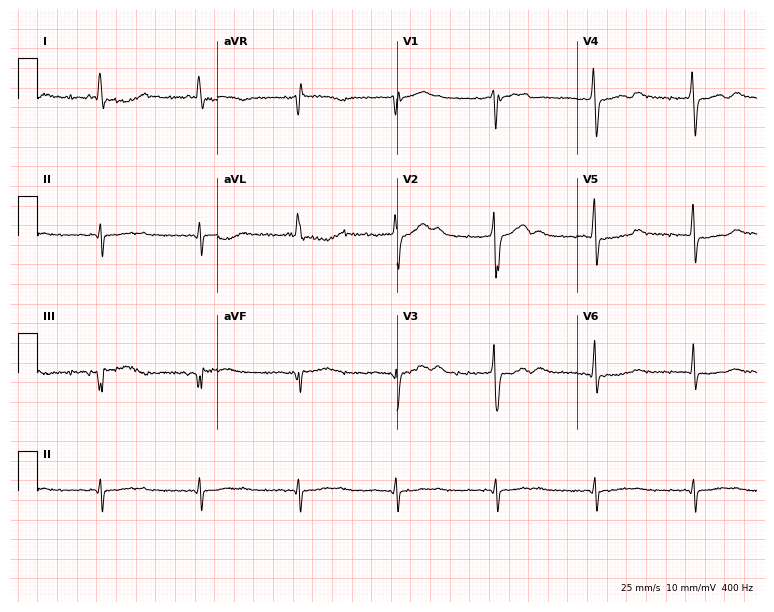
Standard 12-lead ECG recorded from a man, 83 years old. None of these six findings is recorded: first-degree AV block, right bundle branch block (RBBB), left bundle branch block (LBBB), sinus bradycardia, atrial fibrillation (AF), sinus tachycardia.